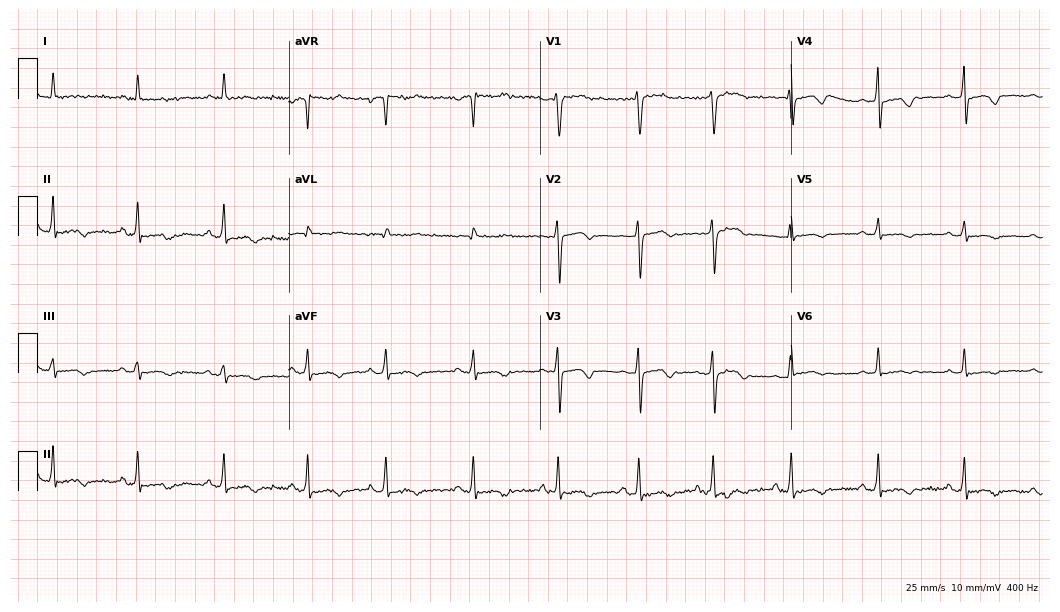
Resting 12-lead electrocardiogram. Patient: a woman, 46 years old. None of these six findings is recorded: first-degree AV block, right bundle branch block, left bundle branch block, sinus bradycardia, atrial fibrillation, sinus tachycardia.